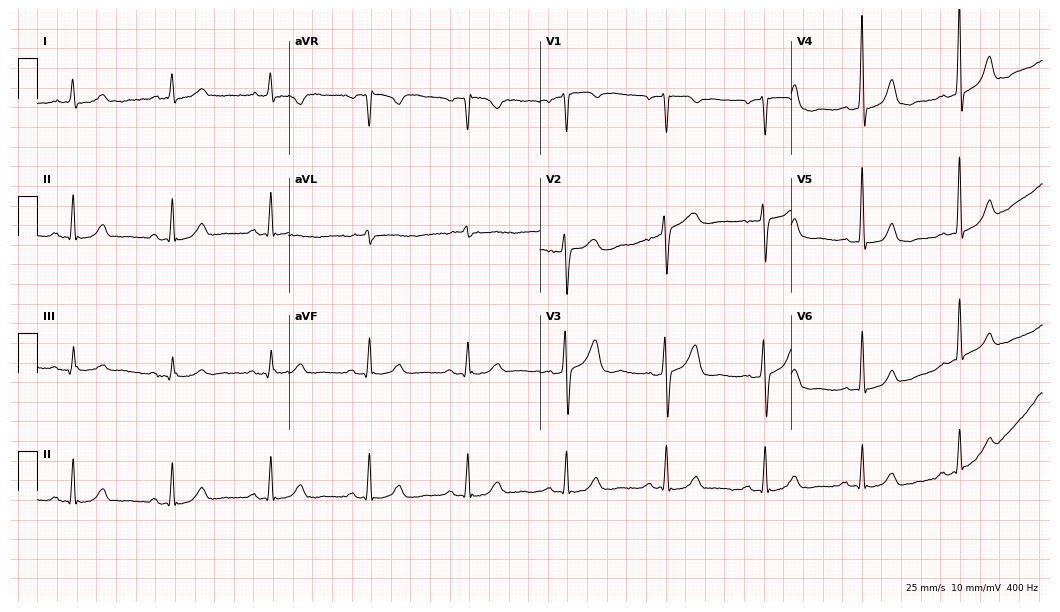
Standard 12-lead ECG recorded from a 74-year-old male patient. Read as a normal ECG.